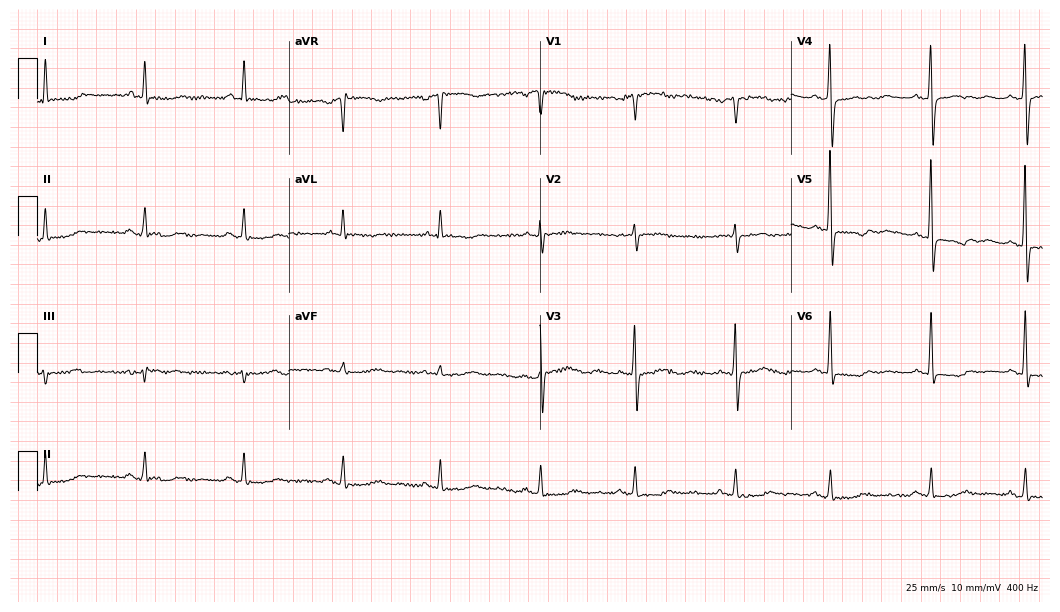
12-lead ECG from an 80-year-old woman. Screened for six findings — first-degree AV block, right bundle branch block, left bundle branch block, sinus bradycardia, atrial fibrillation, sinus tachycardia — none is recorded. Findings outside these six are not listed.